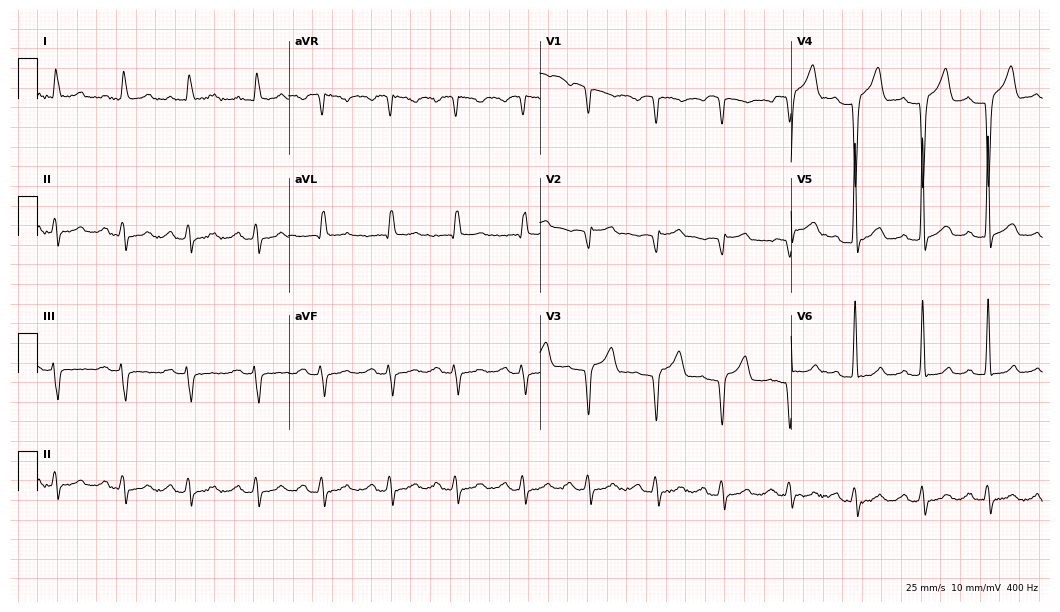
12-lead ECG (10.2-second recording at 400 Hz) from a male, 71 years old. Screened for six findings — first-degree AV block, right bundle branch block, left bundle branch block, sinus bradycardia, atrial fibrillation, sinus tachycardia — none is recorded.